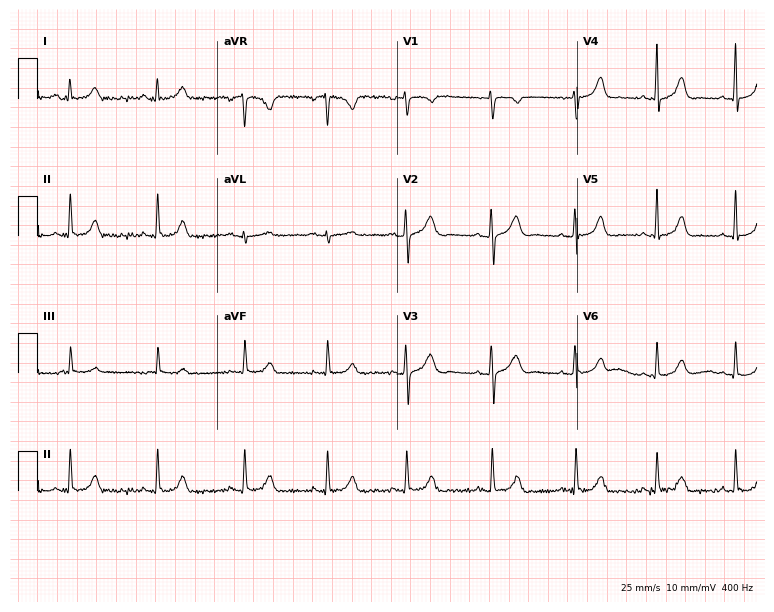
Standard 12-lead ECG recorded from a 20-year-old female patient. Read as a normal ECG.